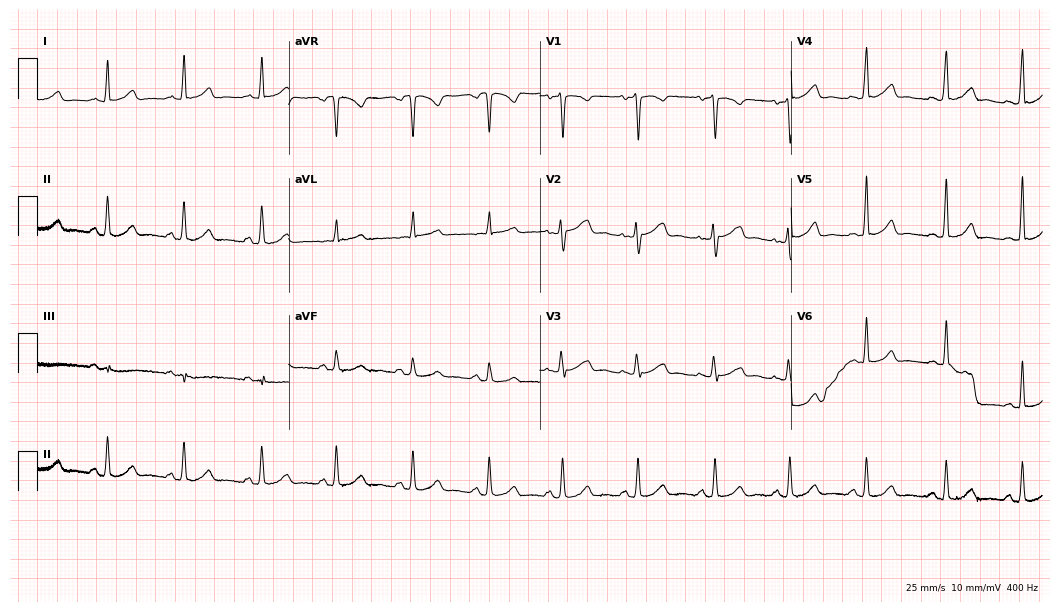
12-lead ECG (10.2-second recording at 400 Hz) from a 33-year-old female patient. Labelled as a normal ECG.